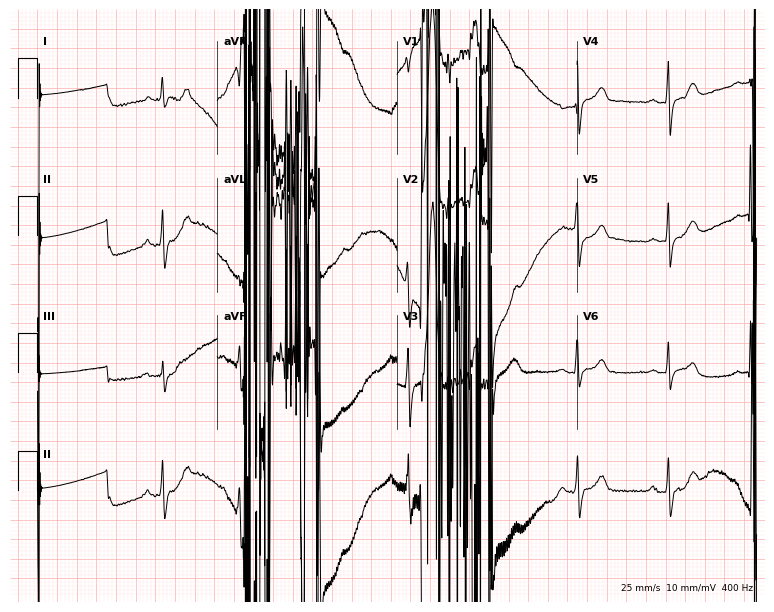
12-lead ECG from a 36-year-old woman. Screened for six findings — first-degree AV block, right bundle branch block (RBBB), left bundle branch block (LBBB), sinus bradycardia, atrial fibrillation (AF), sinus tachycardia — none is recorded.